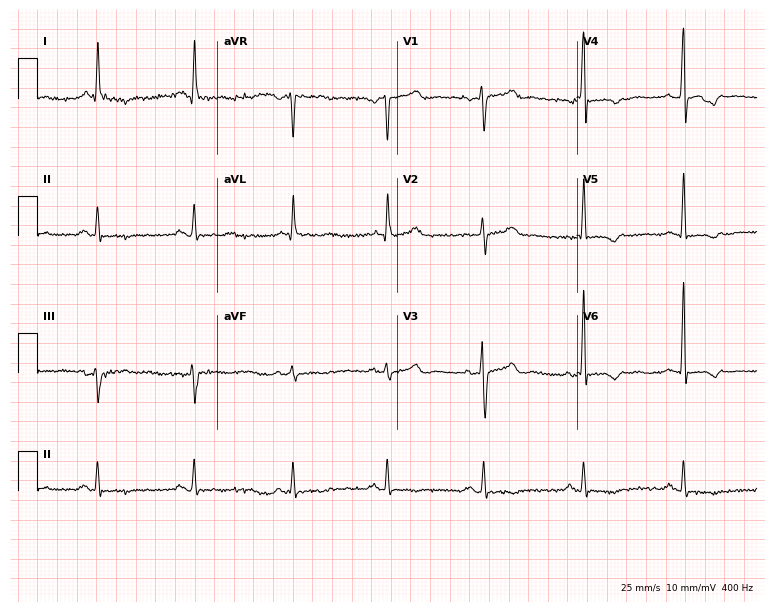
12-lead ECG from a man, 62 years old. No first-degree AV block, right bundle branch block, left bundle branch block, sinus bradycardia, atrial fibrillation or sinus tachycardia recorded for this tracing.